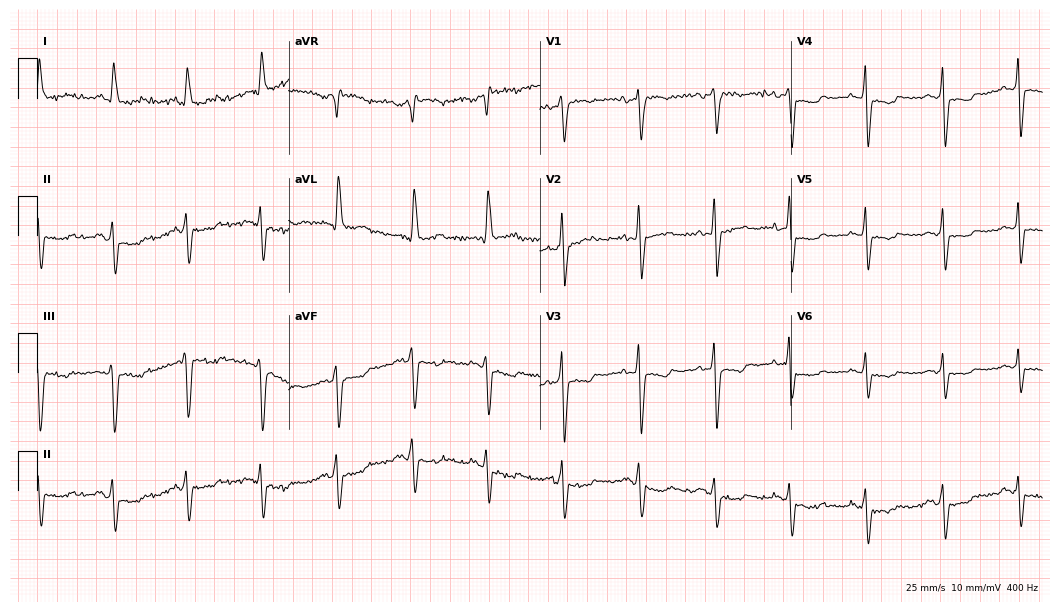
ECG — a female patient, 50 years old. Screened for six findings — first-degree AV block, right bundle branch block (RBBB), left bundle branch block (LBBB), sinus bradycardia, atrial fibrillation (AF), sinus tachycardia — none is recorded.